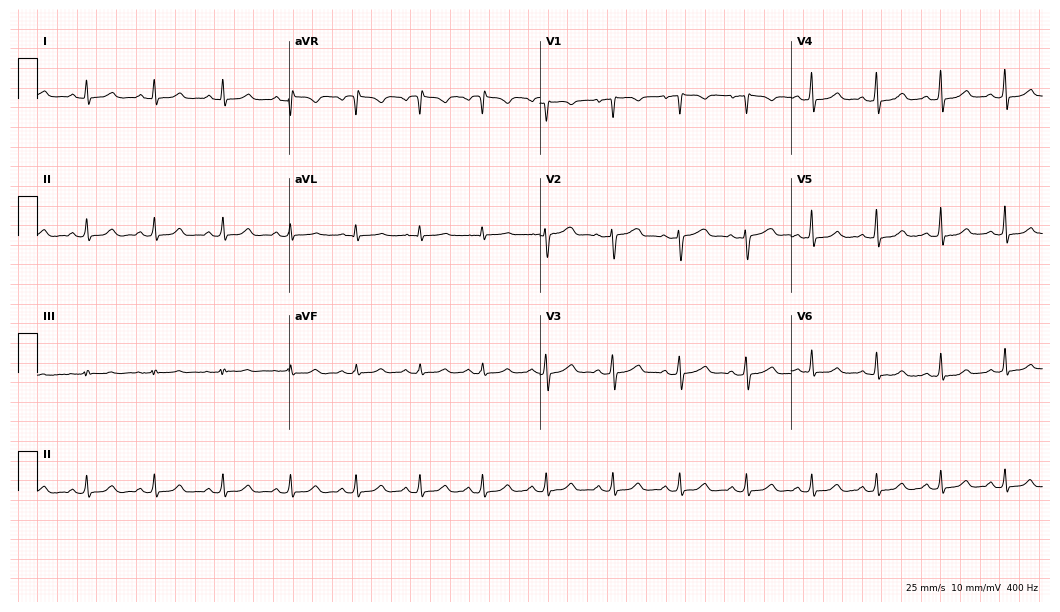
Electrocardiogram (10.2-second recording at 400 Hz), a female, 33 years old. Overall reading on record: normal ECG.